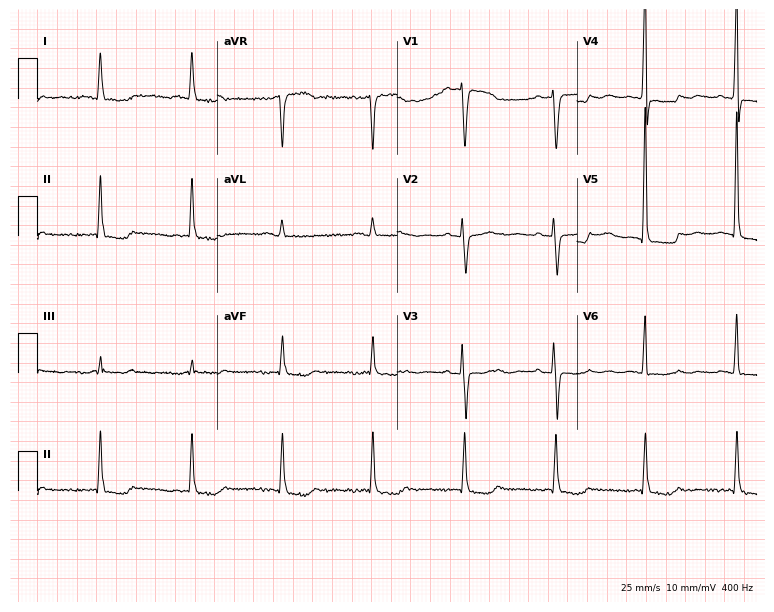
ECG — a 78-year-old woman. Screened for six findings — first-degree AV block, right bundle branch block, left bundle branch block, sinus bradycardia, atrial fibrillation, sinus tachycardia — none is recorded.